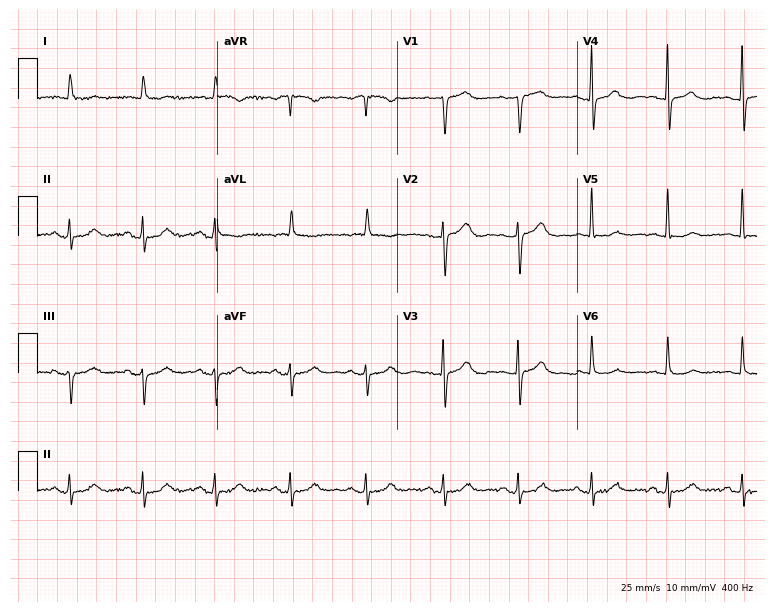
Standard 12-lead ECG recorded from a female, 86 years old. Read as a normal ECG.